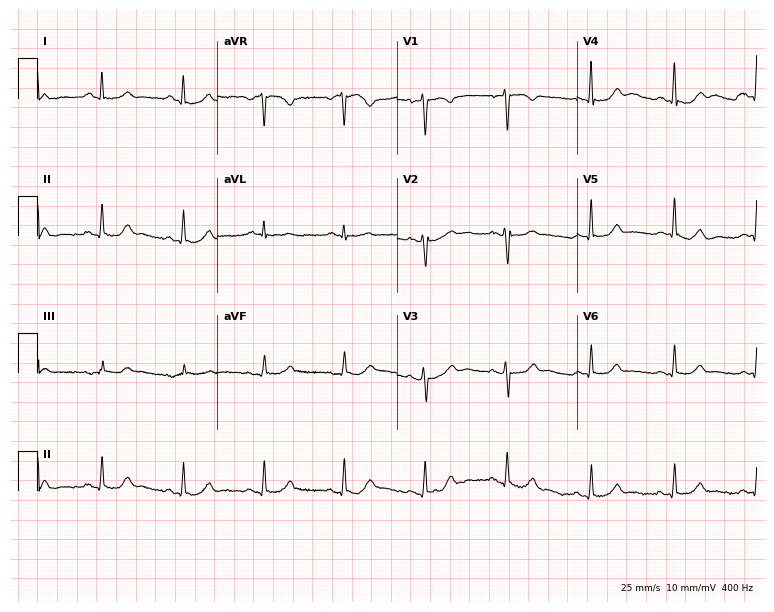
12-lead ECG from a 65-year-old male patient. Labelled as a normal ECG.